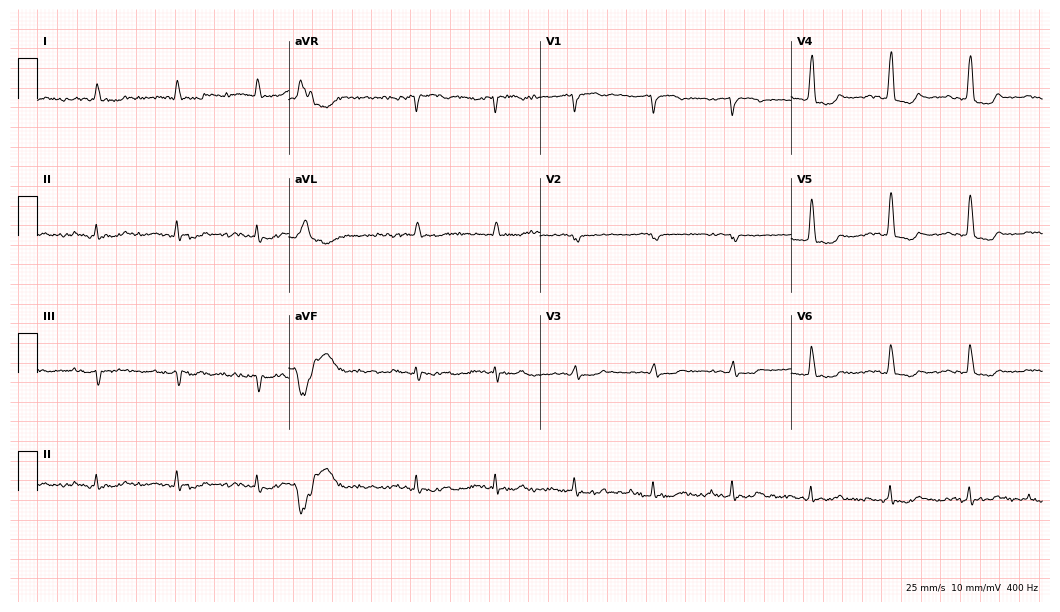
Electrocardiogram (10.2-second recording at 400 Hz), a 76-year-old male patient. Interpretation includes first-degree AV block, atrial fibrillation (AF).